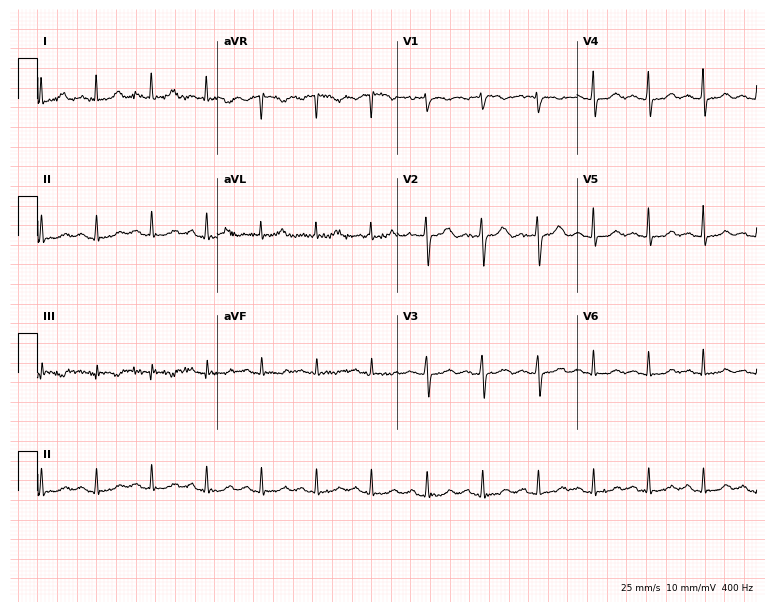
Resting 12-lead electrocardiogram (7.3-second recording at 400 Hz). Patient: a woman, 64 years old. The tracing shows sinus tachycardia (a sinus rate of 100 beats per minute or more).